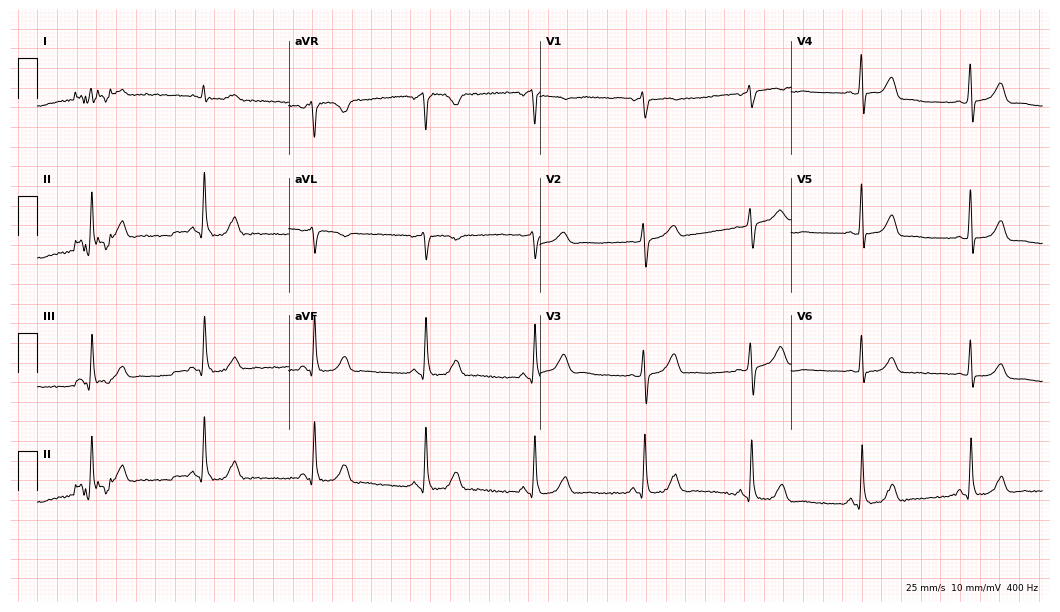
ECG (10.2-second recording at 400 Hz) — a man, 66 years old. Labelled as a normal ECG.